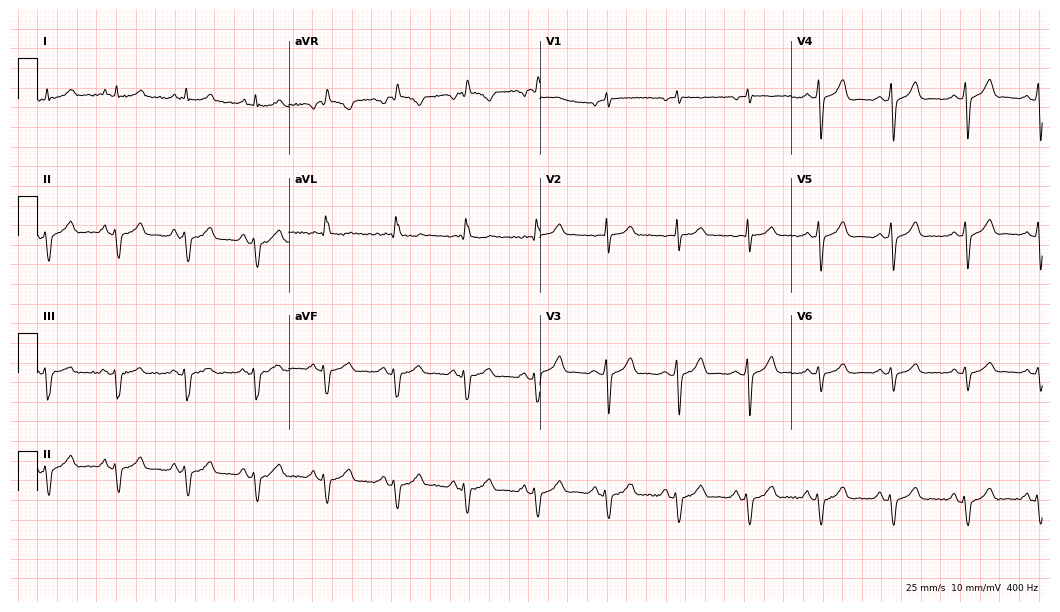
12-lead ECG from a male patient, 69 years old. Screened for six findings — first-degree AV block, right bundle branch block, left bundle branch block, sinus bradycardia, atrial fibrillation, sinus tachycardia — none is recorded.